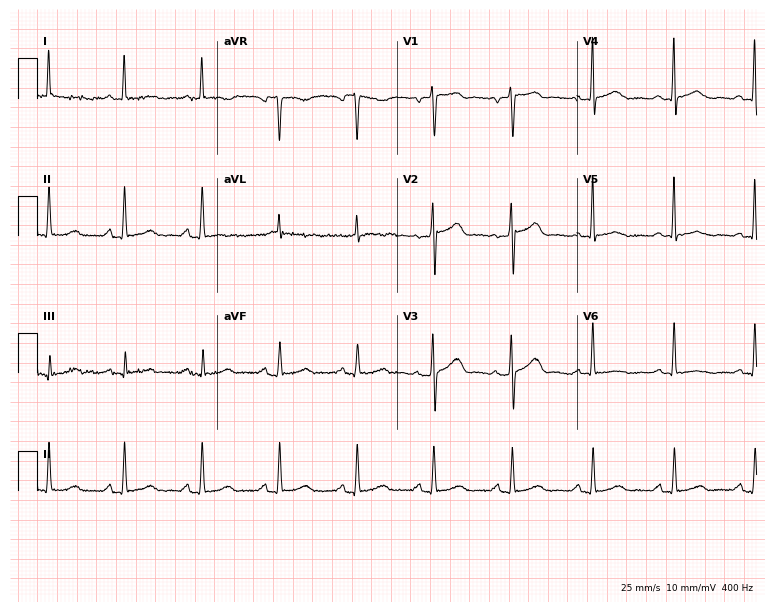
Electrocardiogram (7.3-second recording at 400 Hz), a 62-year-old female patient. Of the six screened findings (first-degree AV block, right bundle branch block, left bundle branch block, sinus bradycardia, atrial fibrillation, sinus tachycardia), none is recorded.